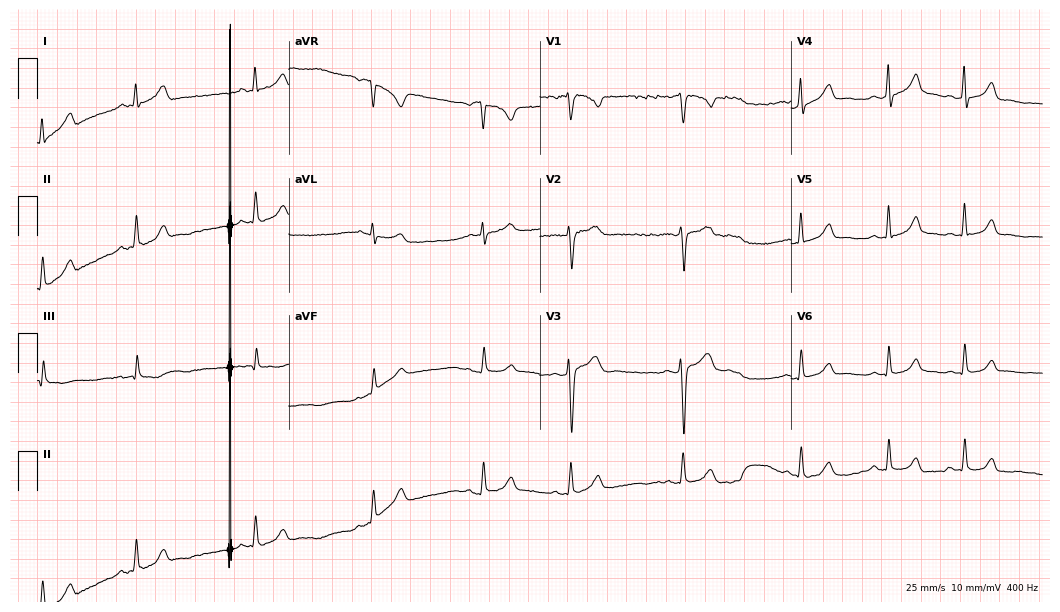
Electrocardiogram, a female, 19 years old. Of the six screened findings (first-degree AV block, right bundle branch block, left bundle branch block, sinus bradycardia, atrial fibrillation, sinus tachycardia), none is recorded.